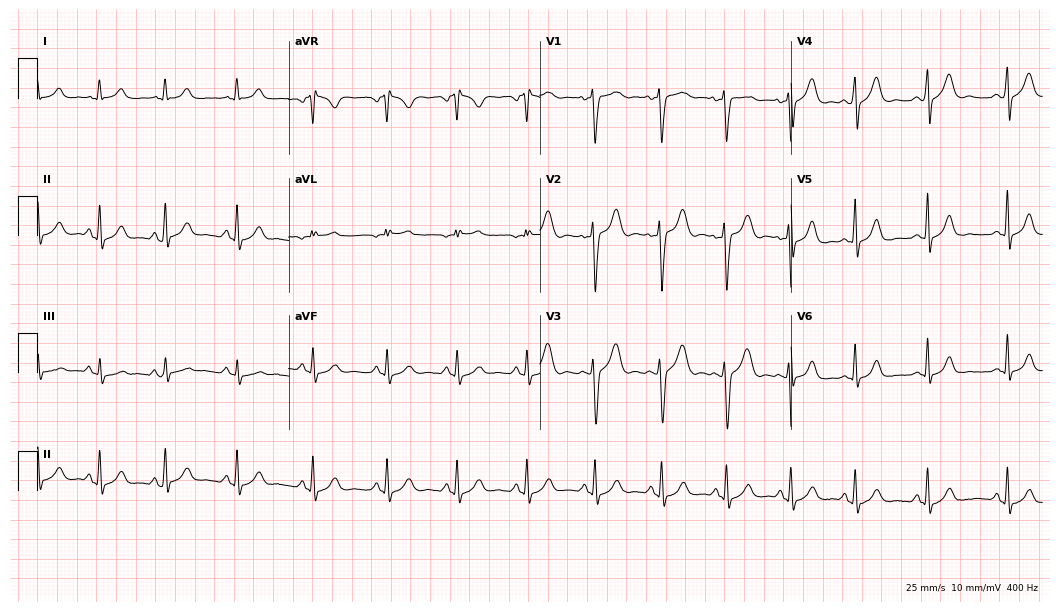
Standard 12-lead ECG recorded from a female, 27 years old (10.2-second recording at 400 Hz). Read as a normal ECG.